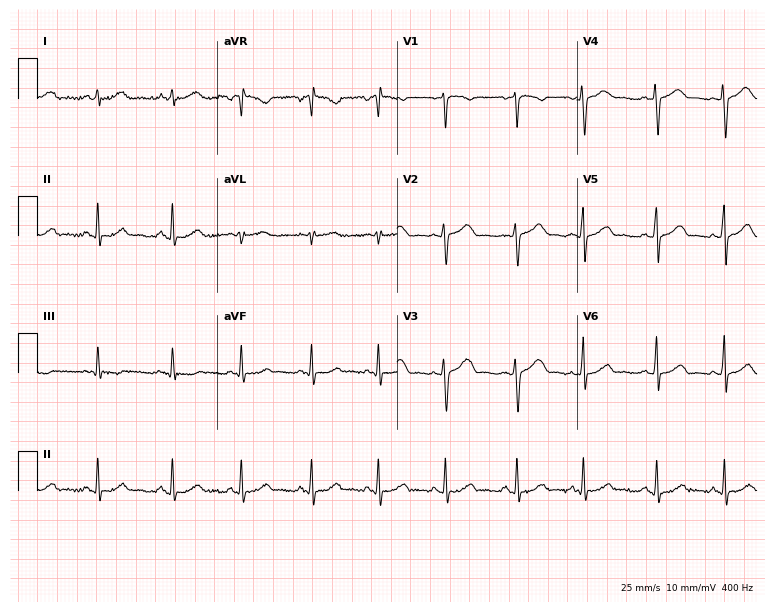
12-lead ECG from a woman, 40 years old. Screened for six findings — first-degree AV block, right bundle branch block, left bundle branch block, sinus bradycardia, atrial fibrillation, sinus tachycardia — none is recorded.